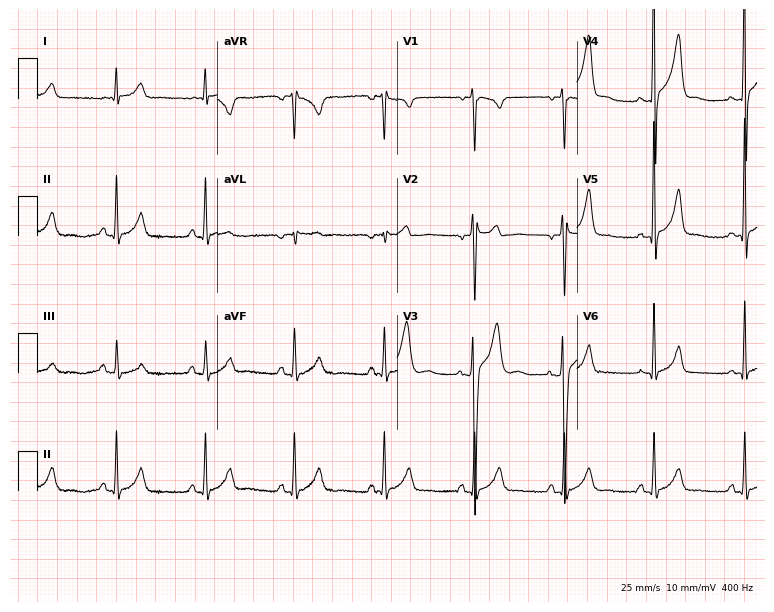
Electrocardiogram (7.3-second recording at 400 Hz), a 19-year-old male. Overall reading on record: normal ECG.